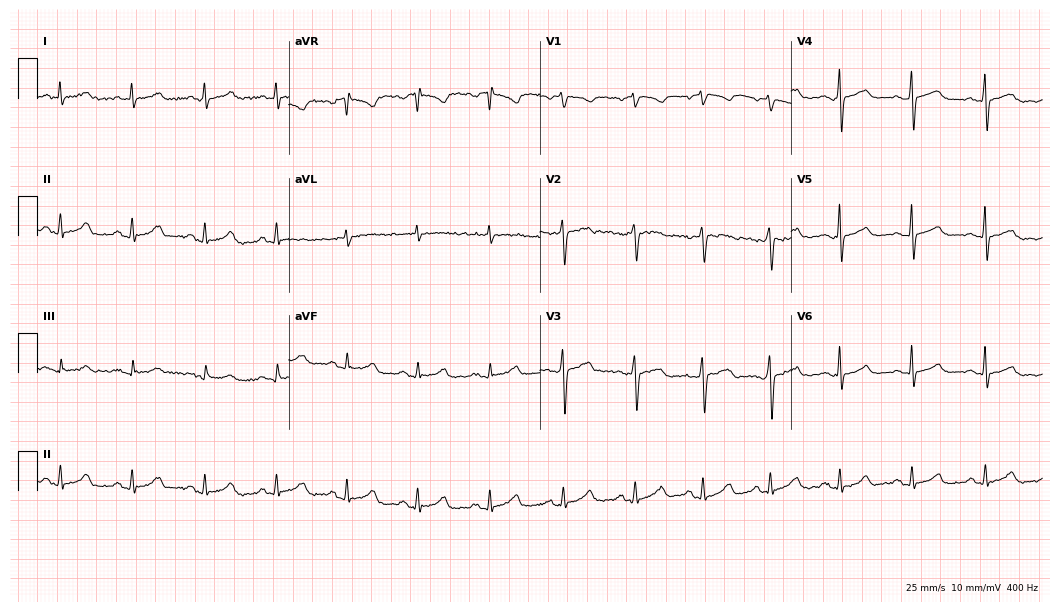
Electrocardiogram (10.2-second recording at 400 Hz), a woman, 48 years old. Of the six screened findings (first-degree AV block, right bundle branch block, left bundle branch block, sinus bradycardia, atrial fibrillation, sinus tachycardia), none is recorded.